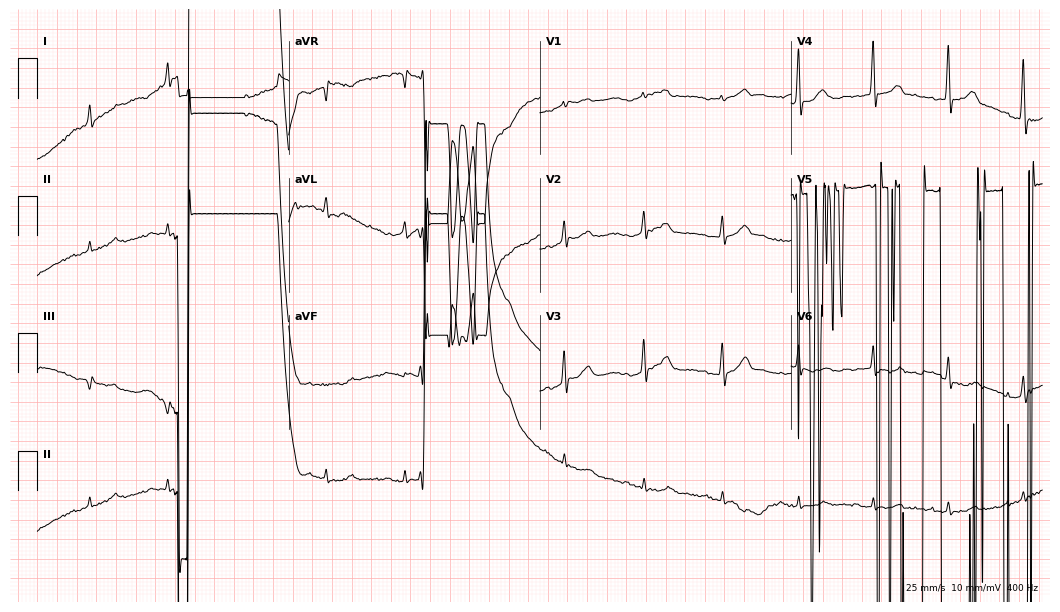
Resting 12-lead electrocardiogram. Patient: a male, 64 years old. None of these six findings is recorded: first-degree AV block, right bundle branch block, left bundle branch block, sinus bradycardia, atrial fibrillation, sinus tachycardia.